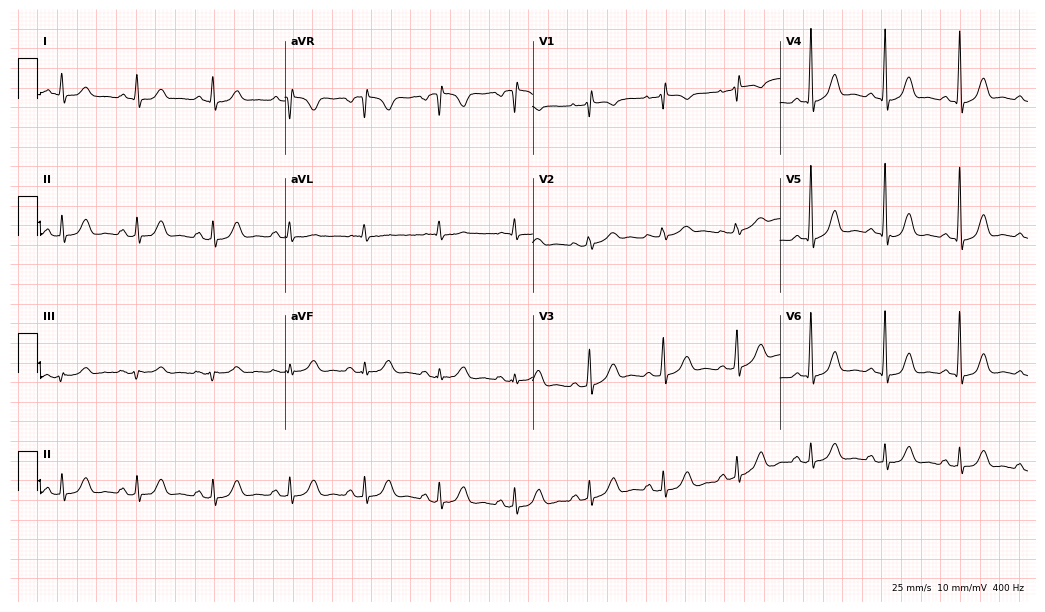
12-lead ECG (10.1-second recording at 400 Hz) from a 60-year-old woman. Screened for six findings — first-degree AV block, right bundle branch block (RBBB), left bundle branch block (LBBB), sinus bradycardia, atrial fibrillation (AF), sinus tachycardia — none is recorded.